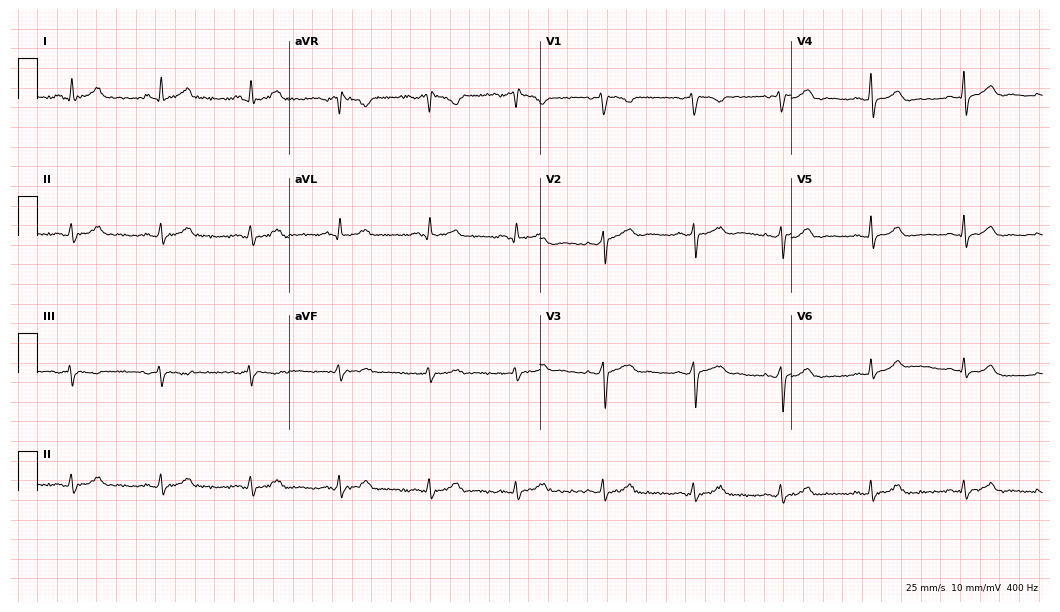
12-lead ECG from a woman, 36 years old. Labelled as a normal ECG.